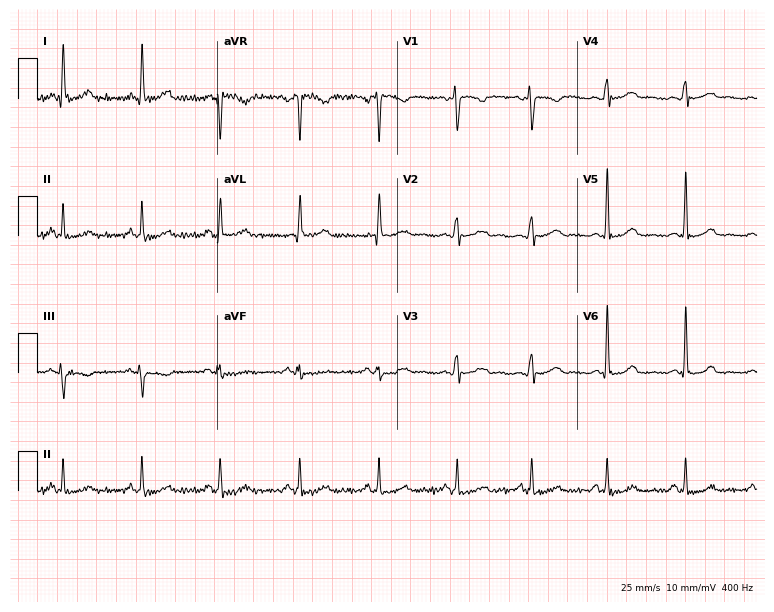
12-lead ECG (7.3-second recording at 400 Hz) from a 48-year-old woman. Screened for six findings — first-degree AV block, right bundle branch block, left bundle branch block, sinus bradycardia, atrial fibrillation, sinus tachycardia — none is recorded. Findings outside these six are not listed.